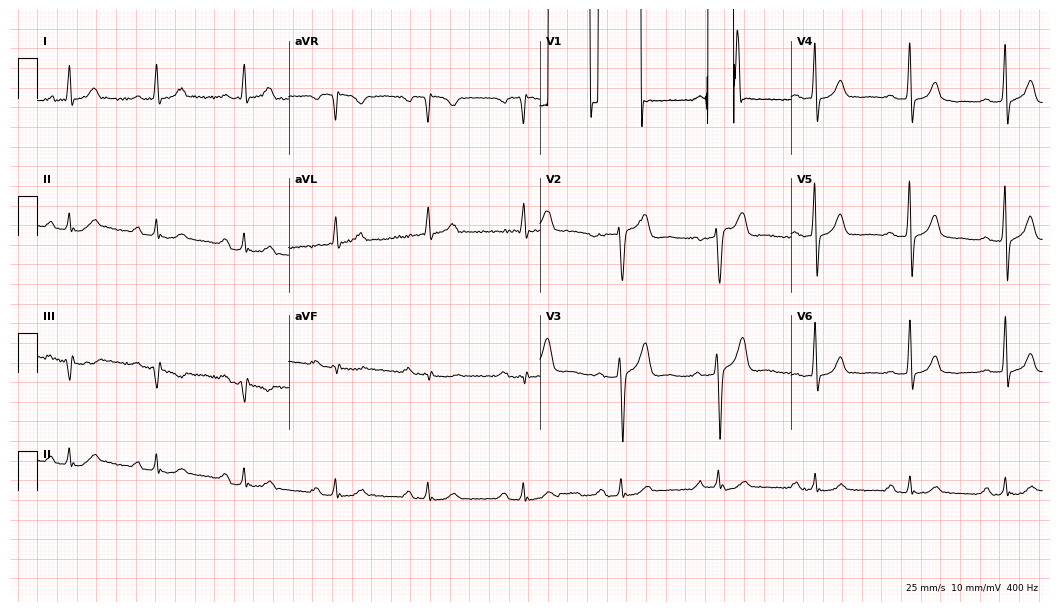
ECG — a male, 63 years old. Labelled as a normal ECG.